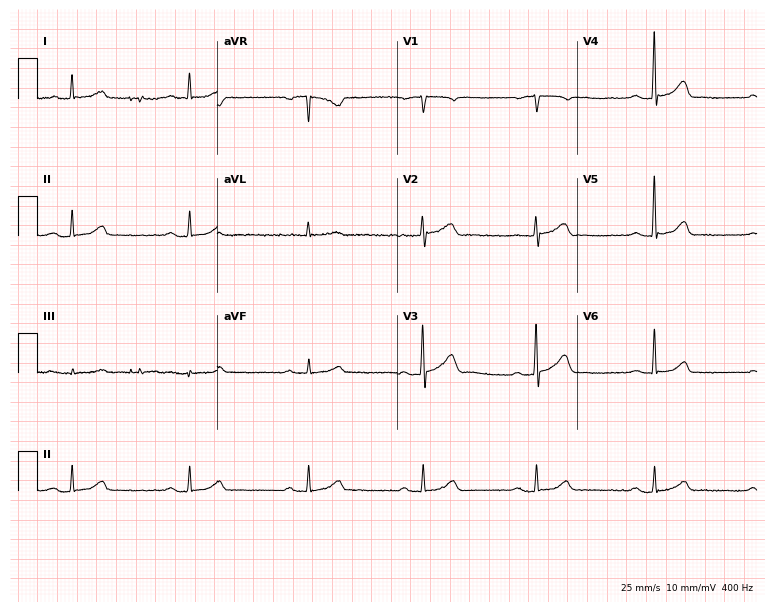
12-lead ECG from a male, 54 years old (7.3-second recording at 400 Hz). Shows first-degree AV block, sinus bradycardia (a sinus rate of 50 beats per minute or less).